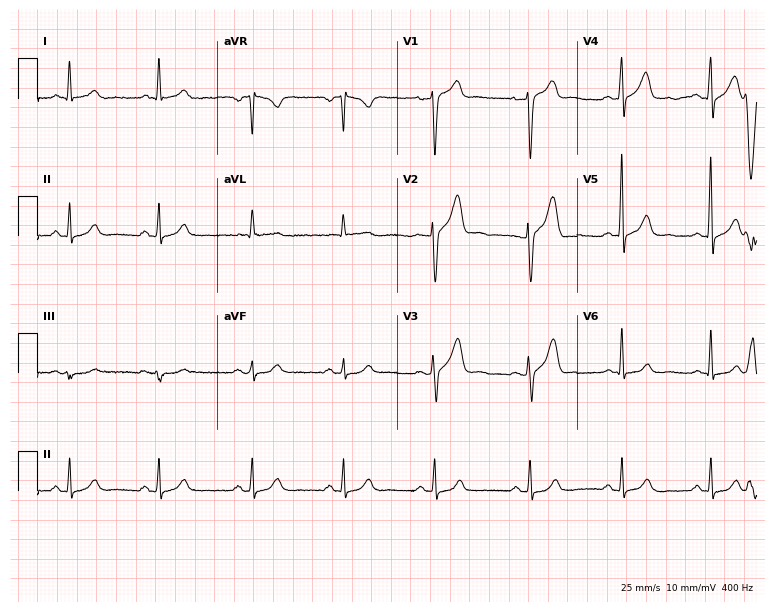
12-lead ECG from a 45-year-old man (7.3-second recording at 400 Hz). No first-degree AV block, right bundle branch block, left bundle branch block, sinus bradycardia, atrial fibrillation or sinus tachycardia recorded for this tracing. Only these six findings were labelled.